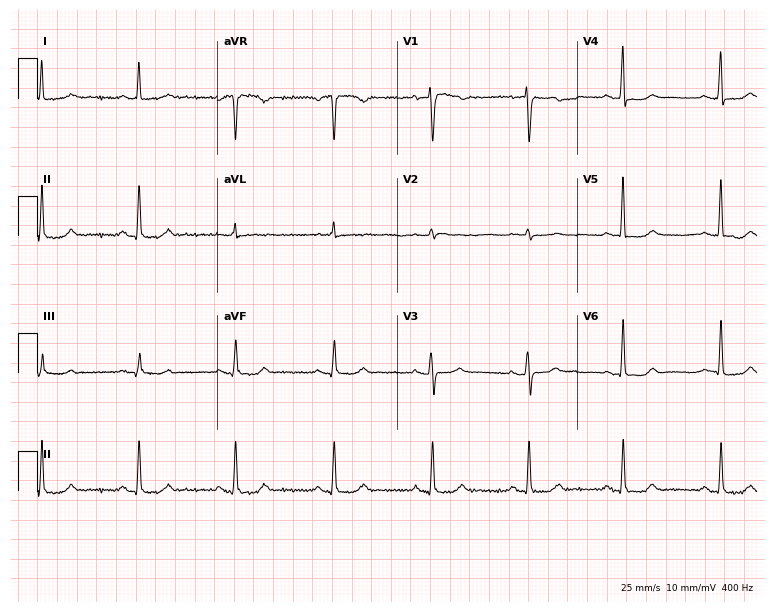
ECG — a woman, 54 years old. Screened for six findings — first-degree AV block, right bundle branch block, left bundle branch block, sinus bradycardia, atrial fibrillation, sinus tachycardia — none is recorded.